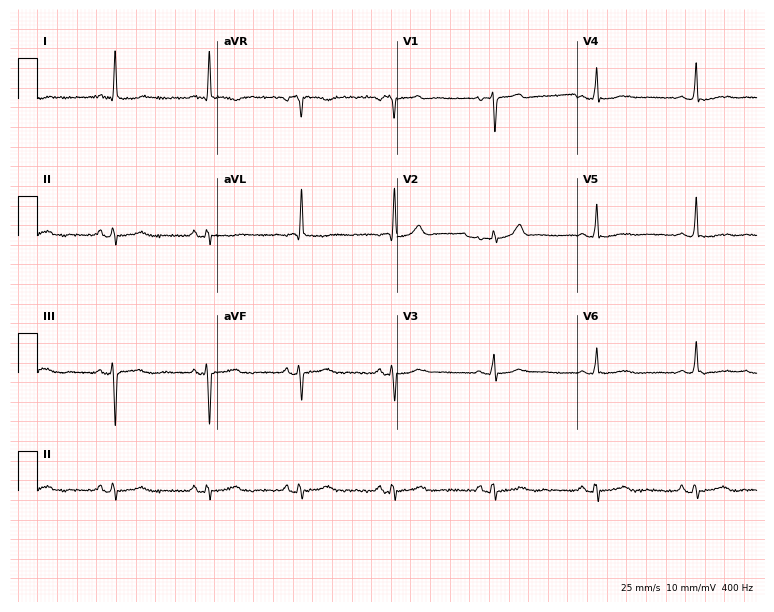
Resting 12-lead electrocardiogram (7.3-second recording at 400 Hz). Patient: a female, 57 years old. None of these six findings is recorded: first-degree AV block, right bundle branch block, left bundle branch block, sinus bradycardia, atrial fibrillation, sinus tachycardia.